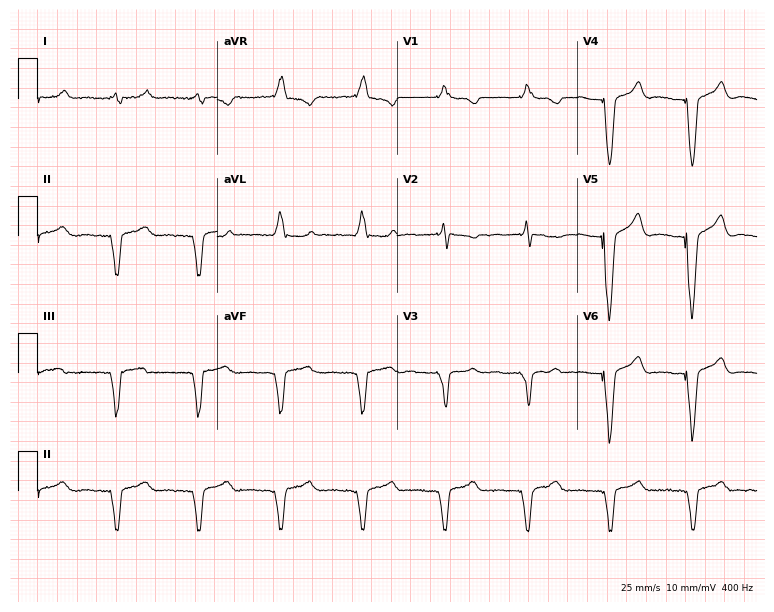
12-lead ECG from a 73-year-old woman. No first-degree AV block, right bundle branch block (RBBB), left bundle branch block (LBBB), sinus bradycardia, atrial fibrillation (AF) or sinus tachycardia recorded for this tracing. Other findings, if any, are not listed.